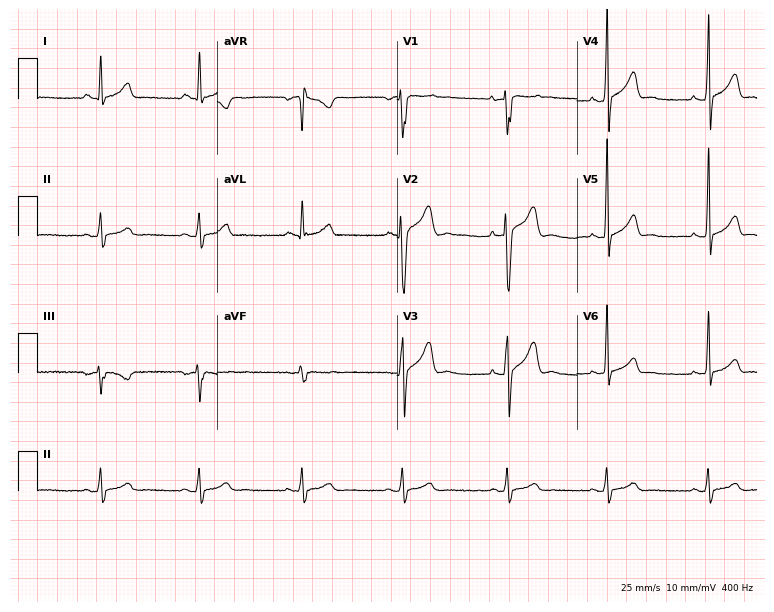
12-lead ECG (7.3-second recording at 400 Hz) from a male patient, 28 years old. Labelled as a normal ECG.